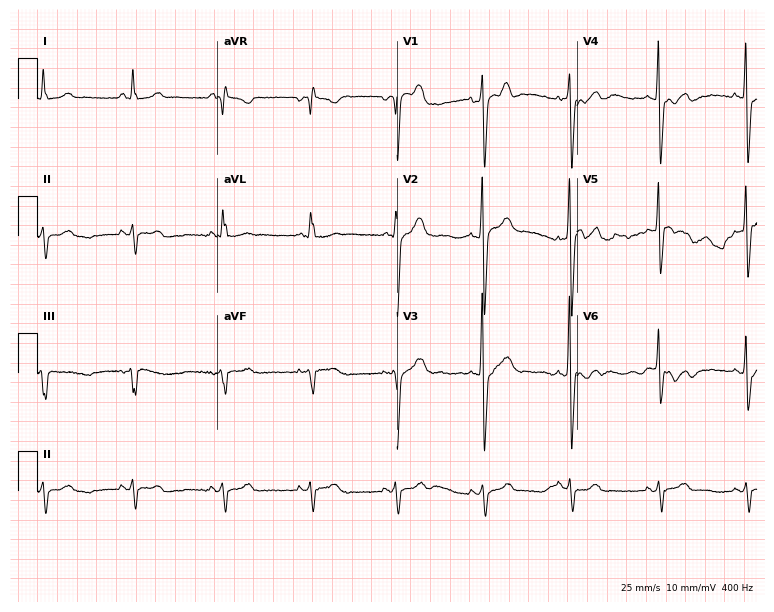
12-lead ECG (7.3-second recording at 400 Hz) from a man, 67 years old. Screened for six findings — first-degree AV block, right bundle branch block, left bundle branch block, sinus bradycardia, atrial fibrillation, sinus tachycardia — none is recorded. Other findings, if any, are not listed.